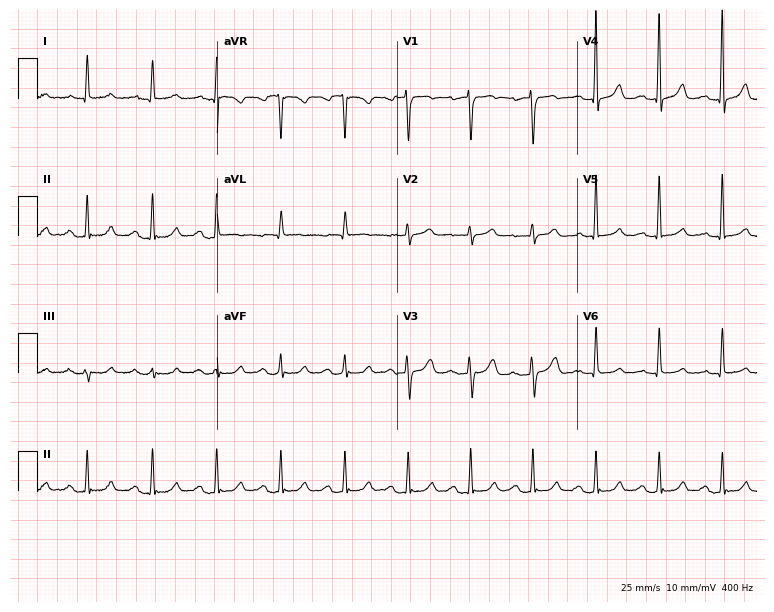
Resting 12-lead electrocardiogram. Patient: a 69-year-old woman. The tracing shows first-degree AV block.